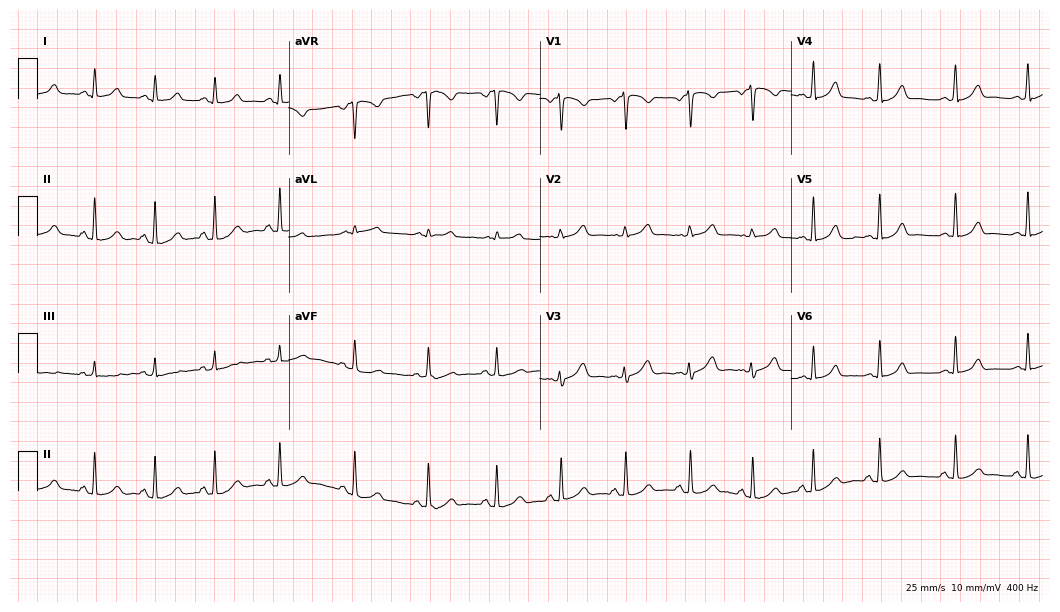
Resting 12-lead electrocardiogram. Patient: a female, 38 years old. Read as a normal ECG.